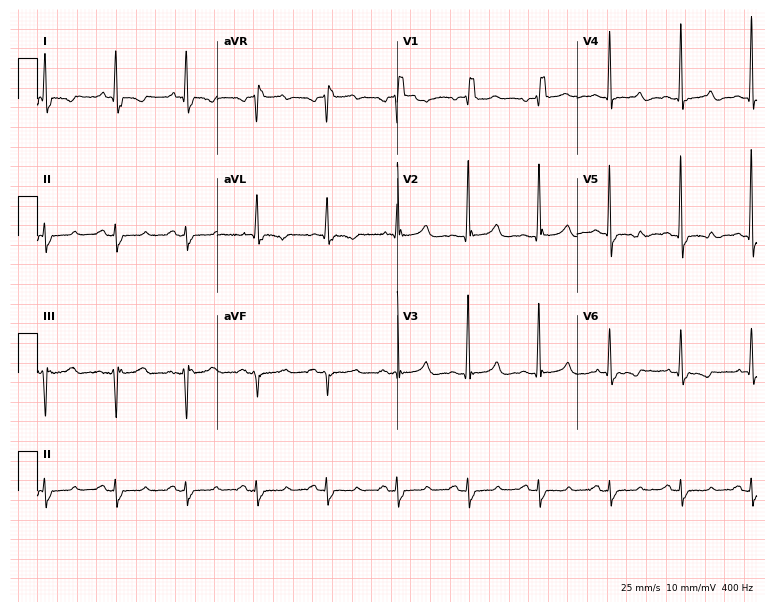
ECG — a 63-year-old man. Screened for six findings — first-degree AV block, right bundle branch block, left bundle branch block, sinus bradycardia, atrial fibrillation, sinus tachycardia — none is recorded. Only these six findings were labelled.